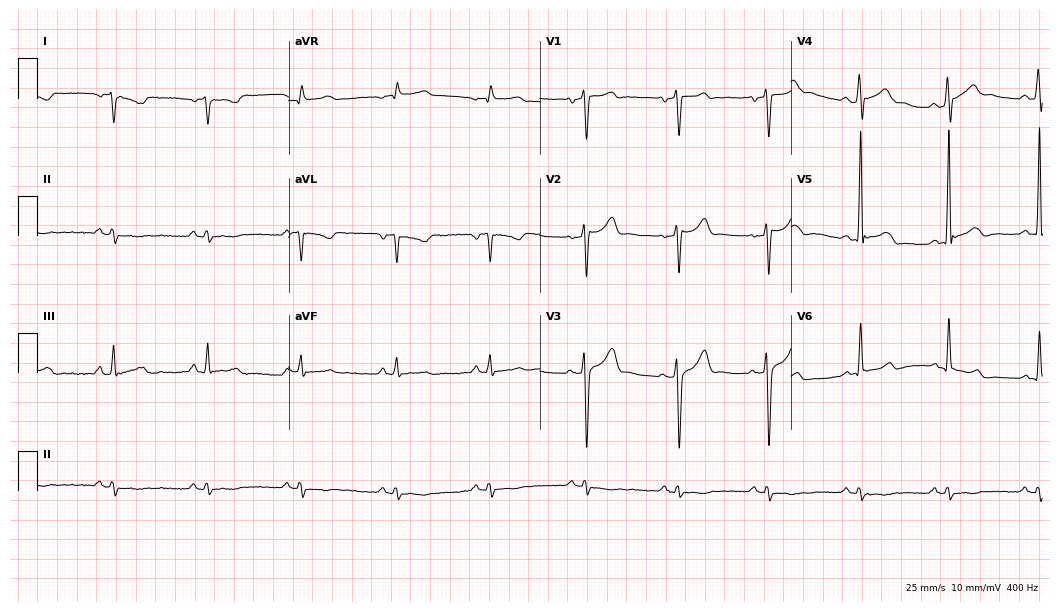
Standard 12-lead ECG recorded from a man, 36 years old. None of these six findings is recorded: first-degree AV block, right bundle branch block, left bundle branch block, sinus bradycardia, atrial fibrillation, sinus tachycardia.